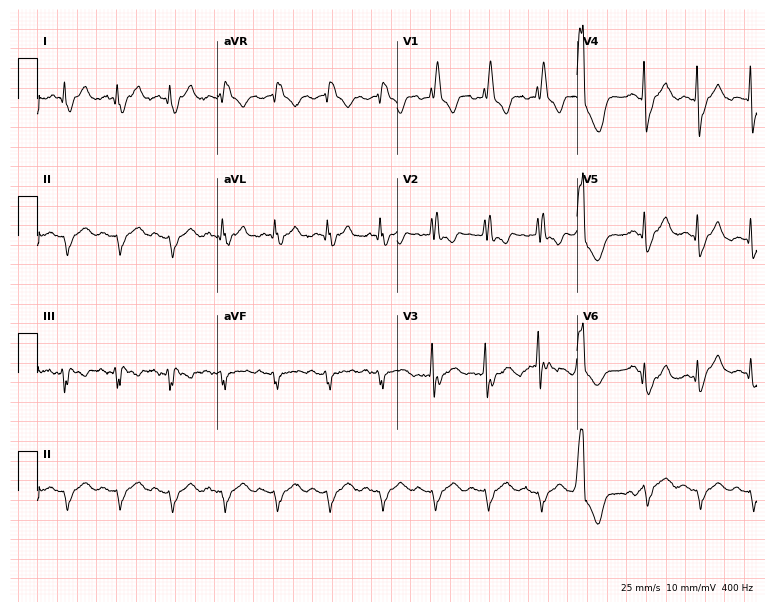
Standard 12-lead ECG recorded from a female patient, 81 years old (7.3-second recording at 400 Hz). The tracing shows right bundle branch block, sinus tachycardia (a sinus rate of 100 beats per minute or more).